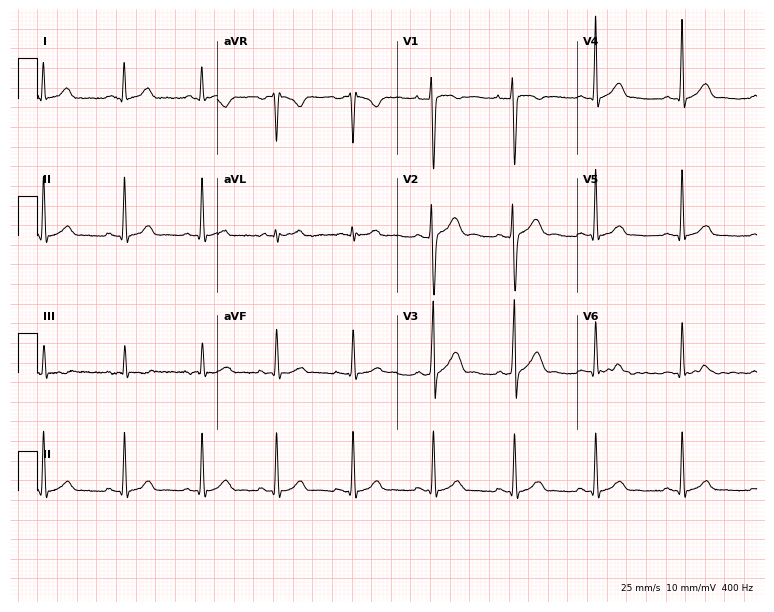
Standard 12-lead ECG recorded from a man, 17 years old (7.3-second recording at 400 Hz). Read as a normal ECG.